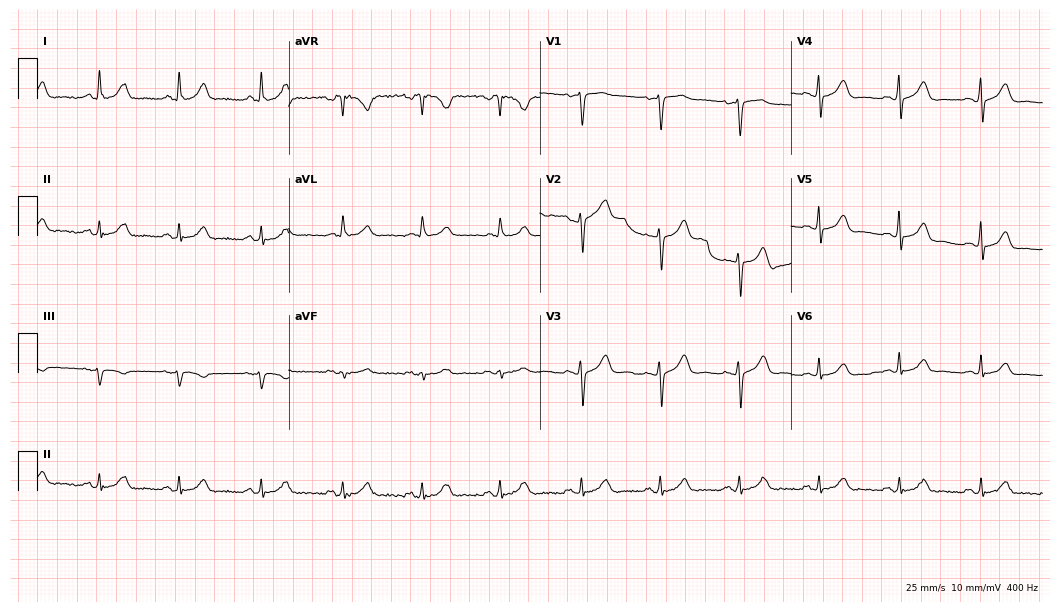
12-lead ECG from a 60-year-old female patient (10.2-second recording at 400 Hz). Recorded interpretation: within normal limits.